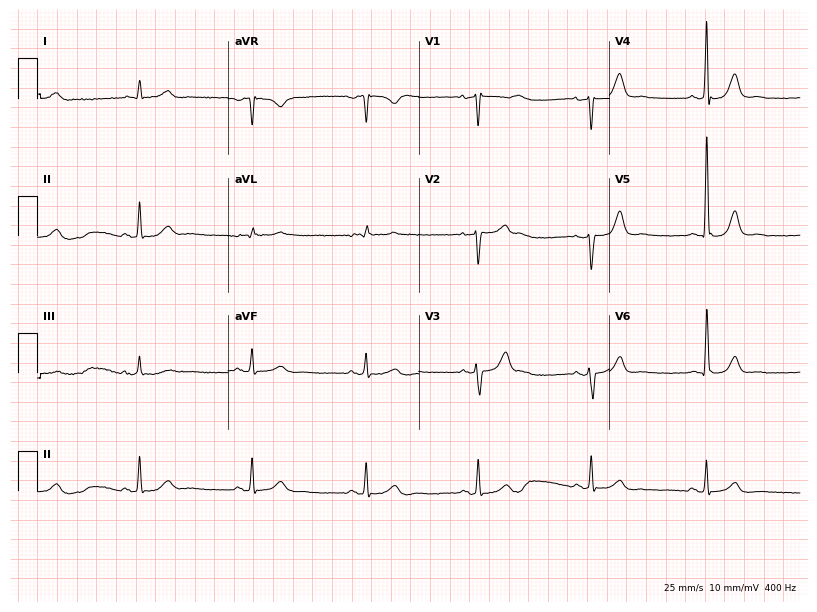
ECG (7.8-second recording at 400 Hz) — a 60-year-old male. Screened for six findings — first-degree AV block, right bundle branch block, left bundle branch block, sinus bradycardia, atrial fibrillation, sinus tachycardia — none is recorded.